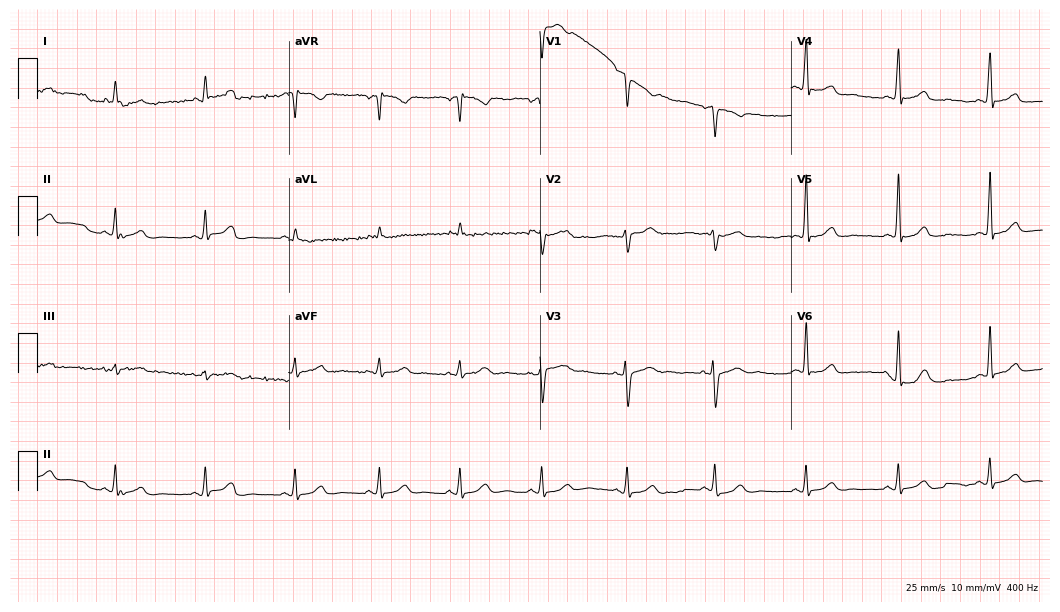
Electrocardiogram, a 35-year-old male patient. Overall reading on record: normal ECG.